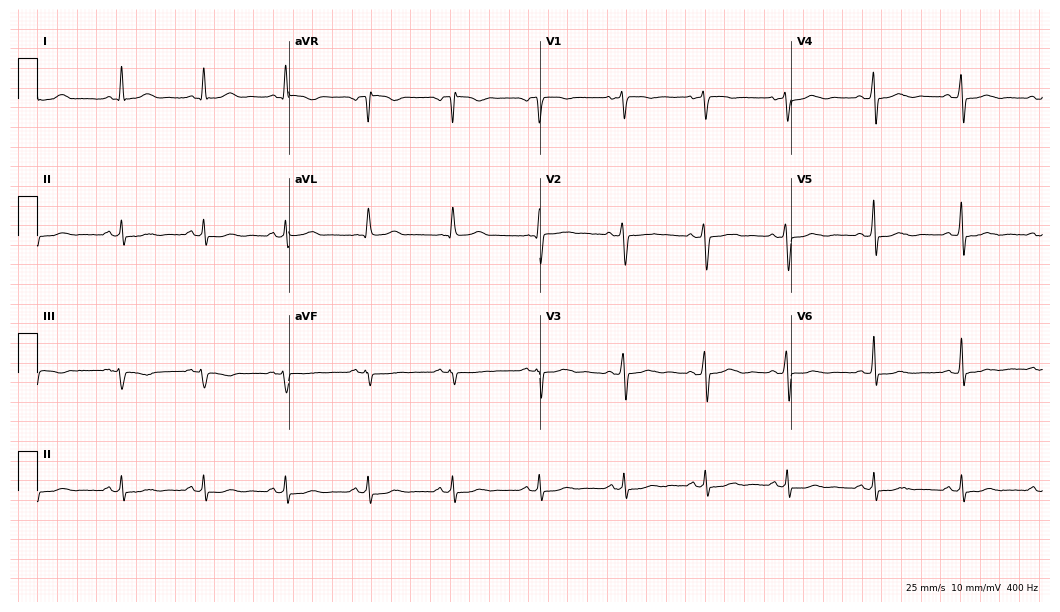
Electrocardiogram, a 47-year-old woman. Overall reading on record: normal ECG.